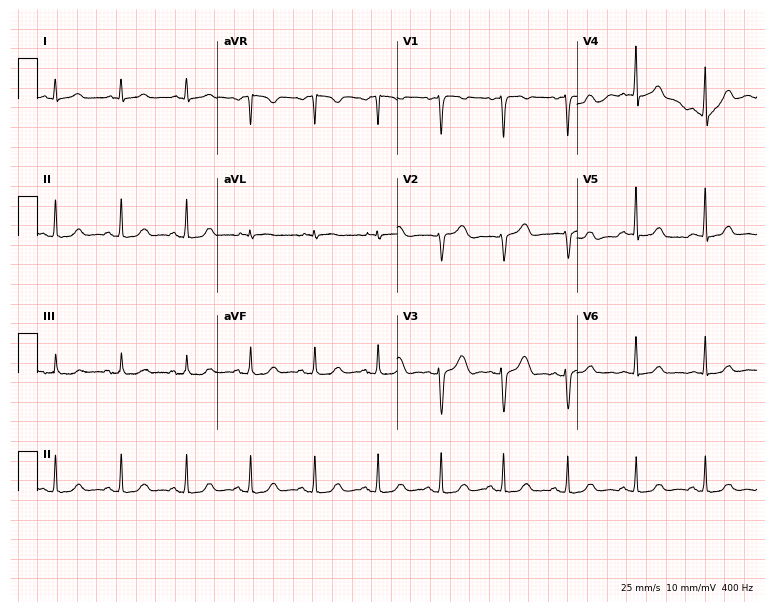
12-lead ECG from a 52-year-old female patient. Labelled as a normal ECG.